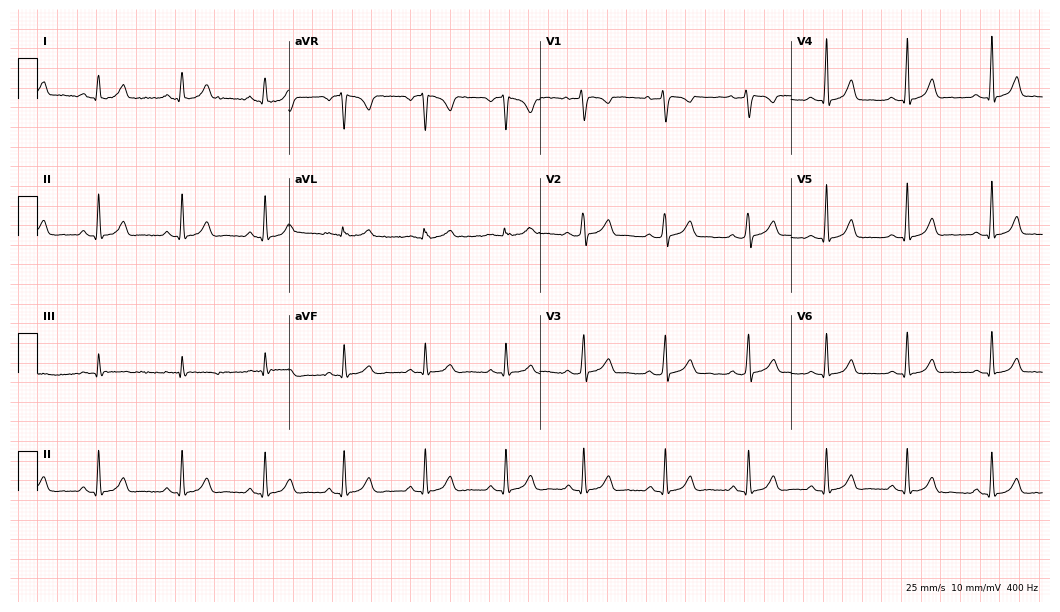
12-lead ECG from a female patient, 23 years old. Screened for six findings — first-degree AV block, right bundle branch block (RBBB), left bundle branch block (LBBB), sinus bradycardia, atrial fibrillation (AF), sinus tachycardia — none is recorded. Other findings, if any, are not listed.